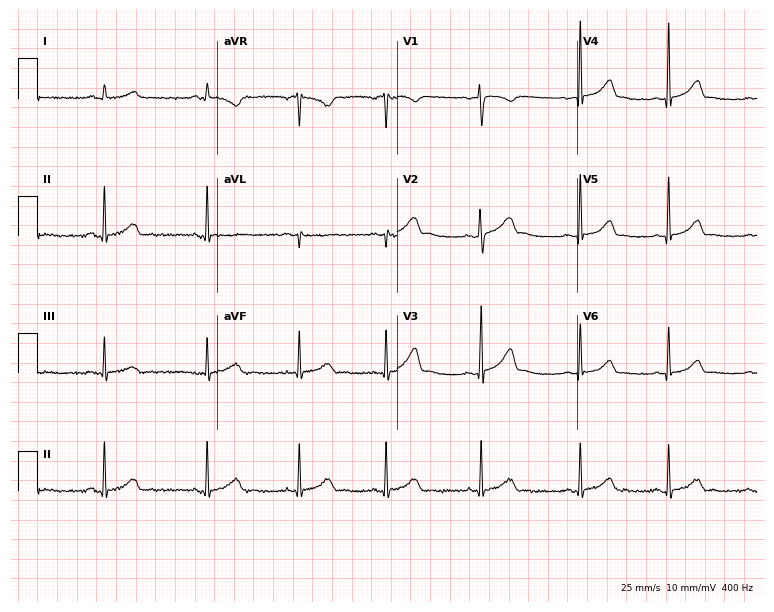
Standard 12-lead ECG recorded from a 25-year-old female patient (7.3-second recording at 400 Hz). None of these six findings is recorded: first-degree AV block, right bundle branch block, left bundle branch block, sinus bradycardia, atrial fibrillation, sinus tachycardia. Findings outside these six are not listed.